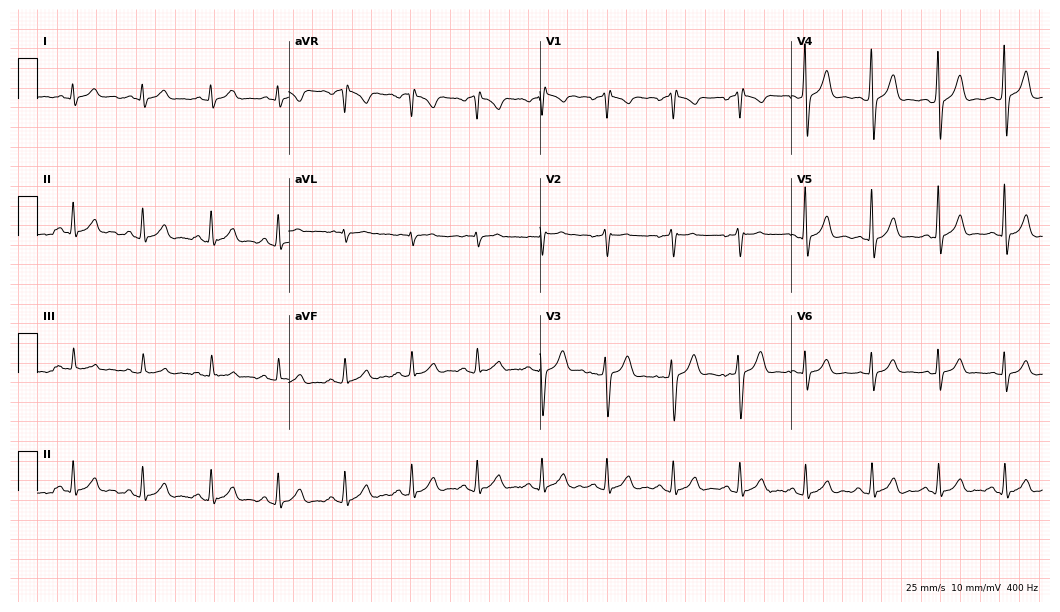
Electrocardiogram, a man, 40 years old. Of the six screened findings (first-degree AV block, right bundle branch block (RBBB), left bundle branch block (LBBB), sinus bradycardia, atrial fibrillation (AF), sinus tachycardia), none is recorded.